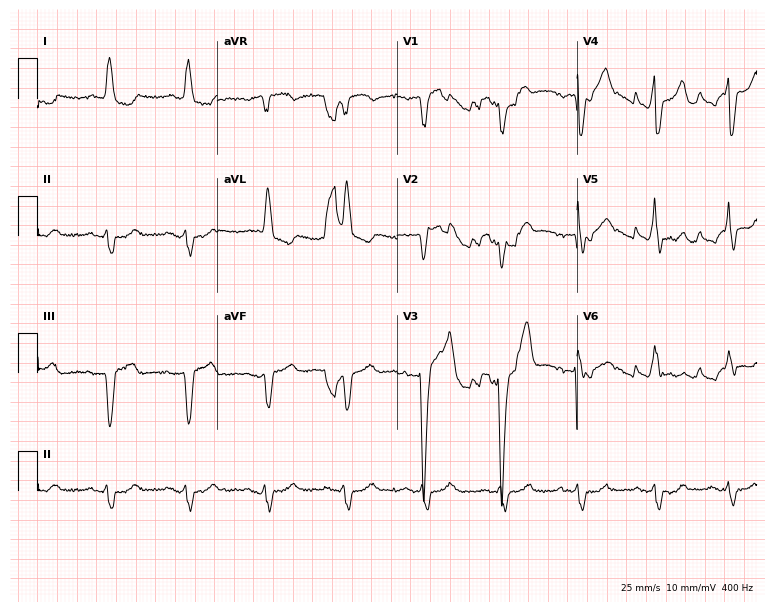
Electrocardiogram, a female patient, 81 years old. Interpretation includes left bundle branch block.